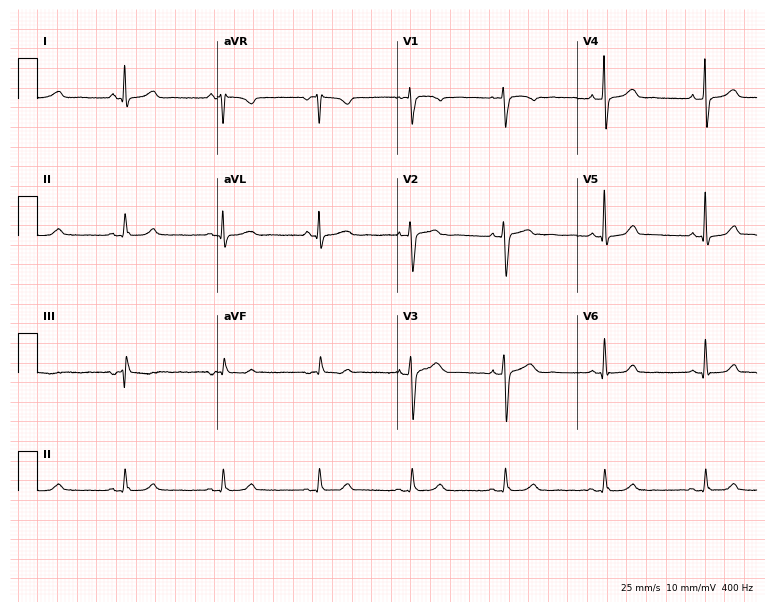
12-lead ECG from a 39-year-old female (7.3-second recording at 400 Hz). Recorded interpretation: within normal limits.